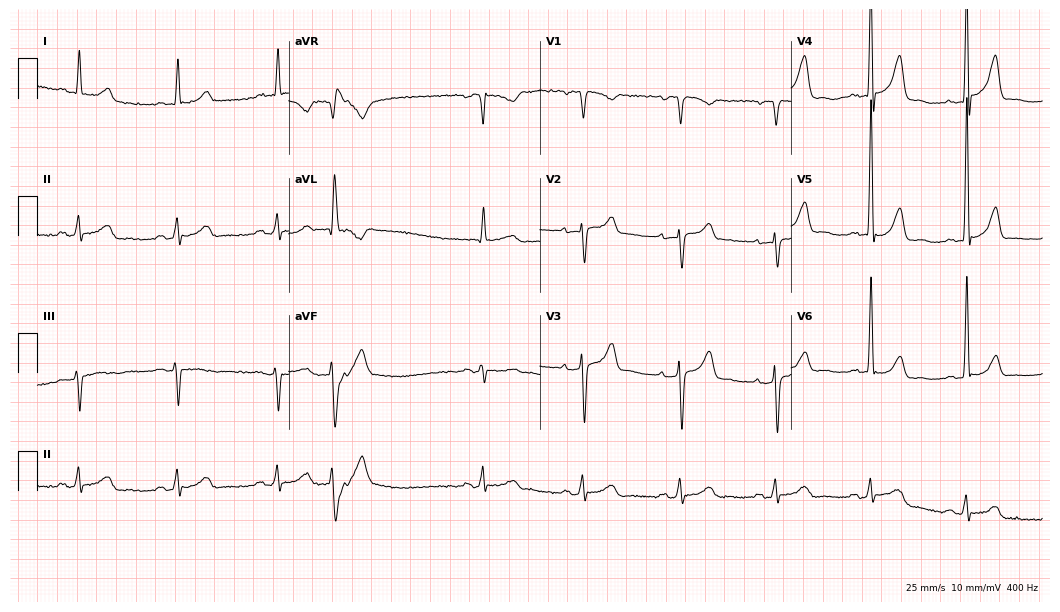
Standard 12-lead ECG recorded from a 62-year-old female patient (10.2-second recording at 400 Hz). None of these six findings is recorded: first-degree AV block, right bundle branch block, left bundle branch block, sinus bradycardia, atrial fibrillation, sinus tachycardia.